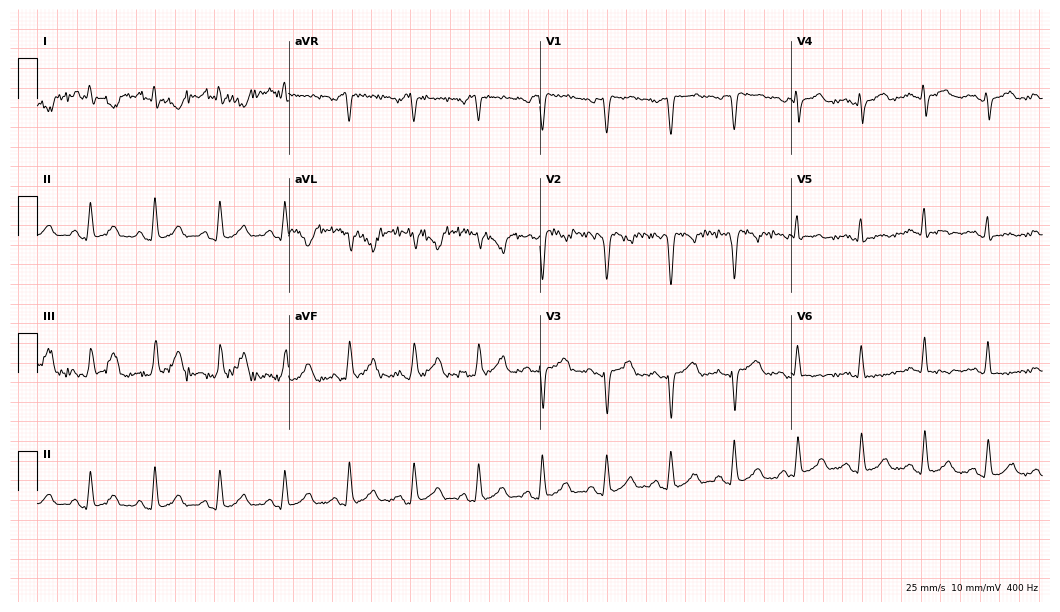
Standard 12-lead ECG recorded from a 49-year-old female (10.2-second recording at 400 Hz). None of these six findings is recorded: first-degree AV block, right bundle branch block (RBBB), left bundle branch block (LBBB), sinus bradycardia, atrial fibrillation (AF), sinus tachycardia. Other findings, if any, are not listed.